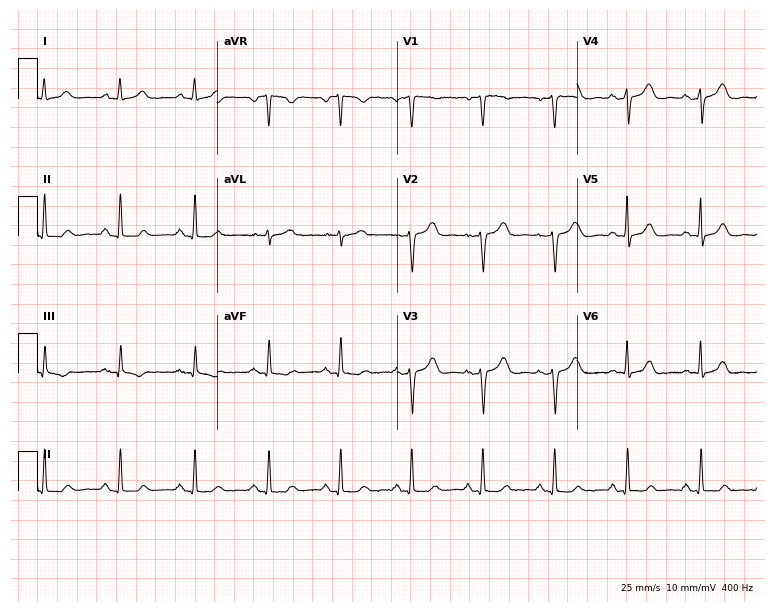
Electrocardiogram (7.3-second recording at 400 Hz), a woman, 51 years old. Of the six screened findings (first-degree AV block, right bundle branch block (RBBB), left bundle branch block (LBBB), sinus bradycardia, atrial fibrillation (AF), sinus tachycardia), none is recorded.